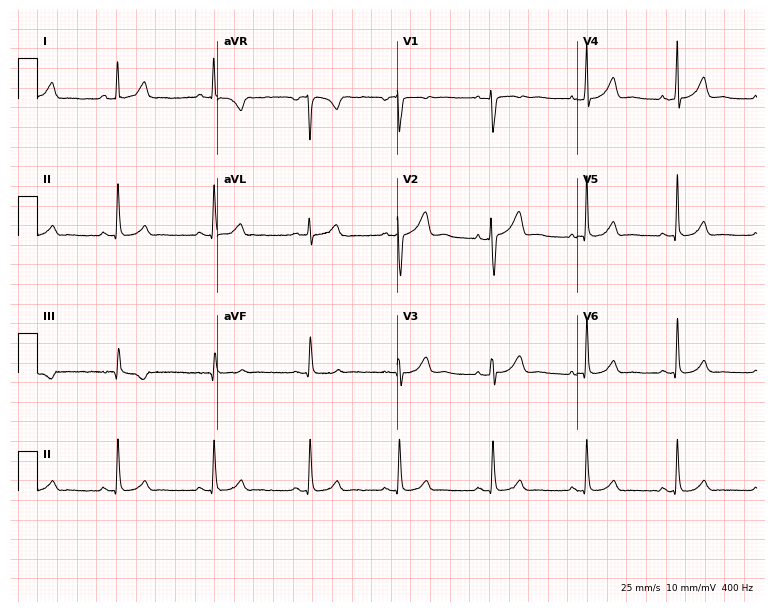
12-lead ECG (7.3-second recording at 400 Hz) from a female, 49 years old. Labelled as a normal ECG.